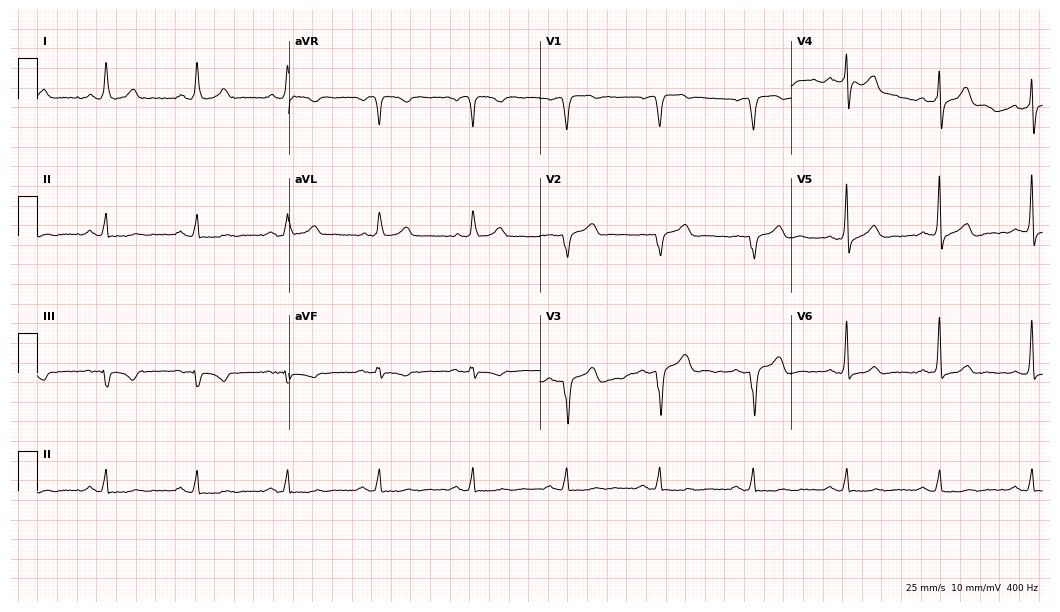
ECG — a 53-year-old male. Screened for six findings — first-degree AV block, right bundle branch block, left bundle branch block, sinus bradycardia, atrial fibrillation, sinus tachycardia — none is recorded. Findings outside these six are not listed.